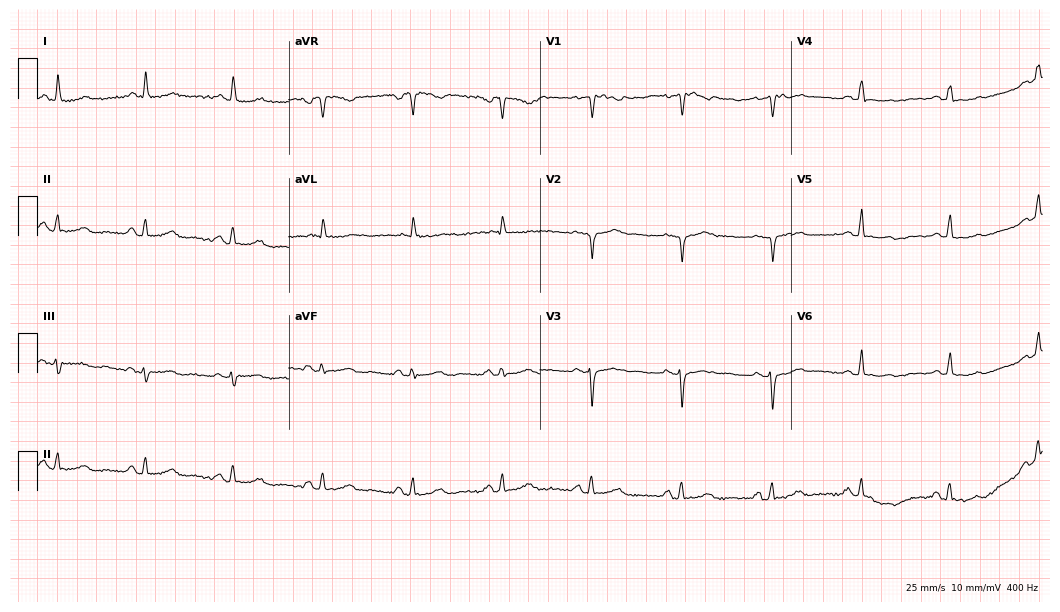
Electrocardiogram, a female, 61 years old. Of the six screened findings (first-degree AV block, right bundle branch block (RBBB), left bundle branch block (LBBB), sinus bradycardia, atrial fibrillation (AF), sinus tachycardia), none is recorded.